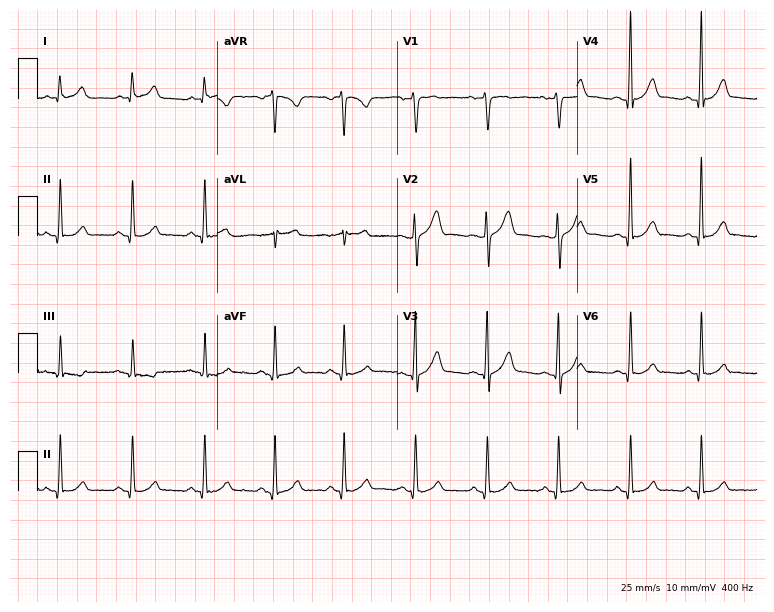
Electrocardiogram (7.3-second recording at 400 Hz), a 48-year-old man. Overall reading on record: normal ECG.